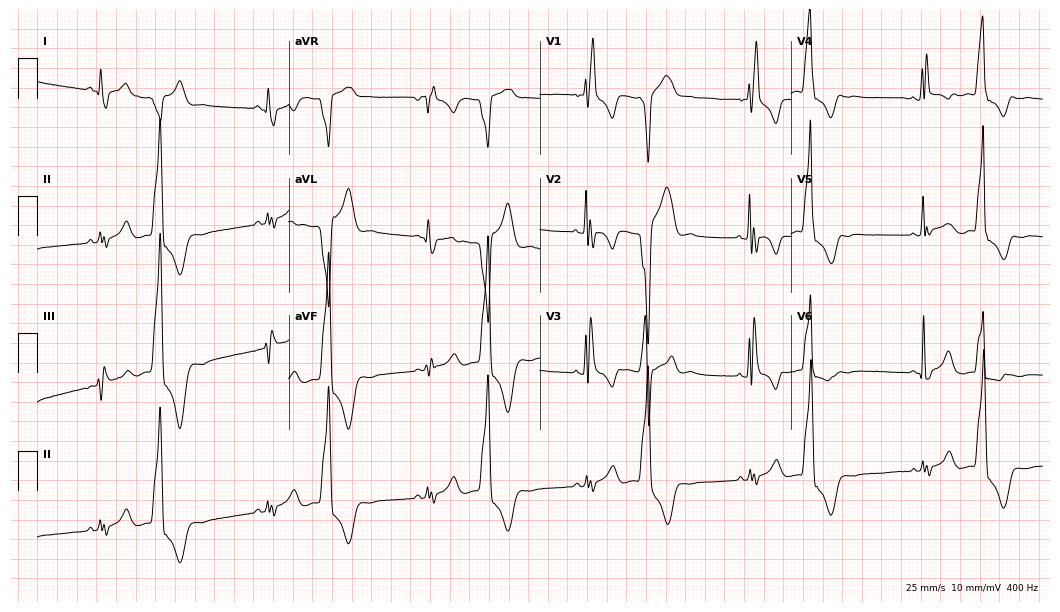
Resting 12-lead electrocardiogram. Patient: a 28-year-old male. None of these six findings is recorded: first-degree AV block, right bundle branch block, left bundle branch block, sinus bradycardia, atrial fibrillation, sinus tachycardia. Findings outside these six are not listed.